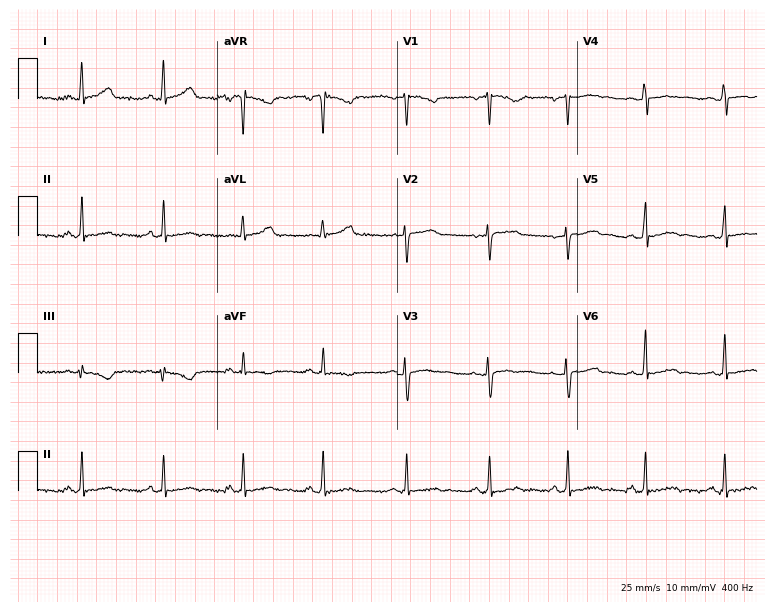
Electrocardiogram (7.3-second recording at 400 Hz), a female patient, 35 years old. Overall reading on record: normal ECG.